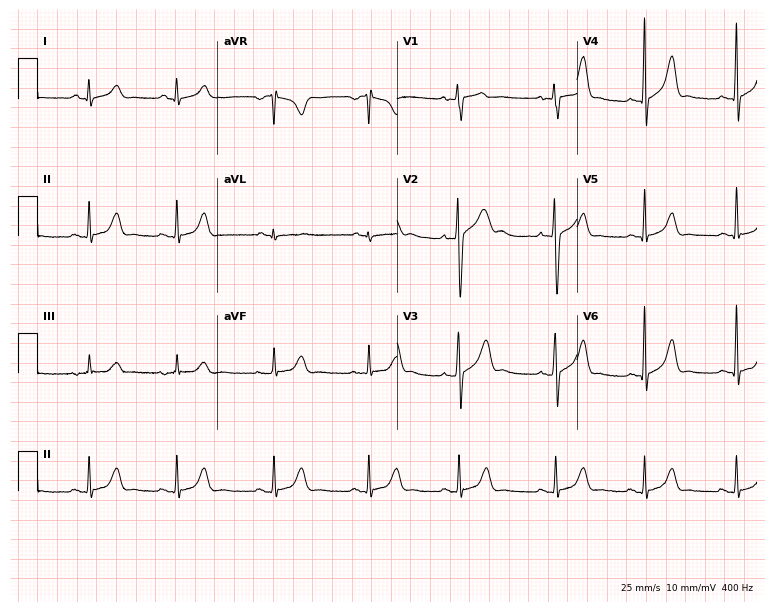
12-lead ECG (7.3-second recording at 400 Hz) from a 24-year-old female patient. Screened for six findings — first-degree AV block, right bundle branch block, left bundle branch block, sinus bradycardia, atrial fibrillation, sinus tachycardia — none is recorded. Findings outside these six are not listed.